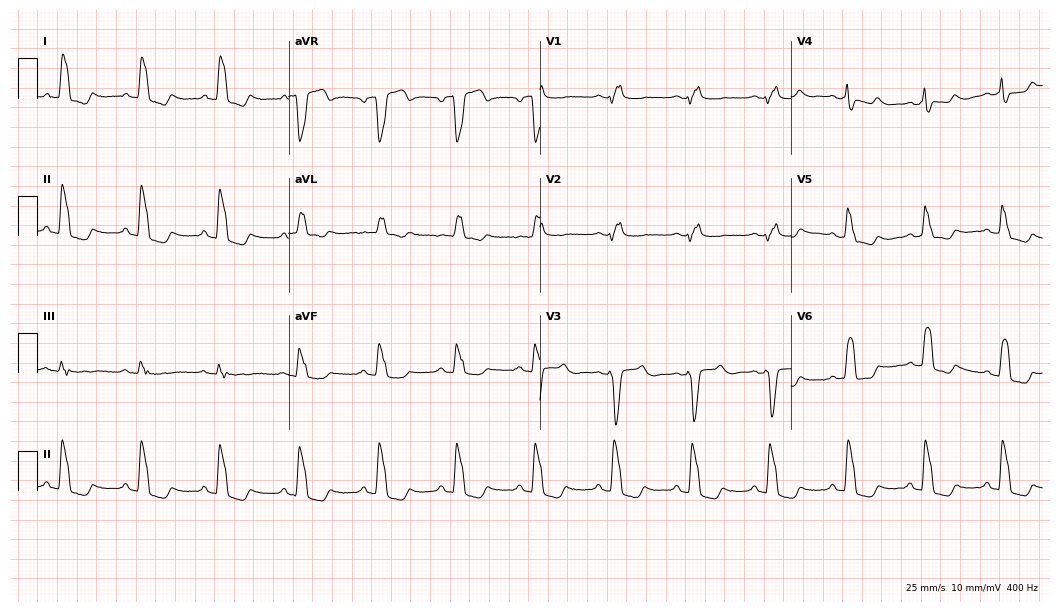
12-lead ECG from a female, 70 years old. Shows right bundle branch block.